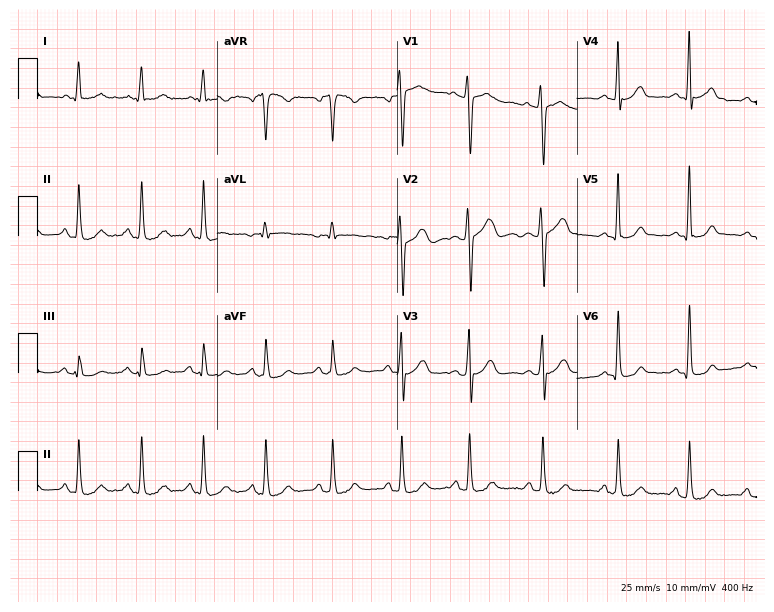
Standard 12-lead ECG recorded from a 26-year-old female patient (7.3-second recording at 400 Hz). None of these six findings is recorded: first-degree AV block, right bundle branch block, left bundle branch block, sinus bradycardia, atrial fibrillation, sinus tachycardia.